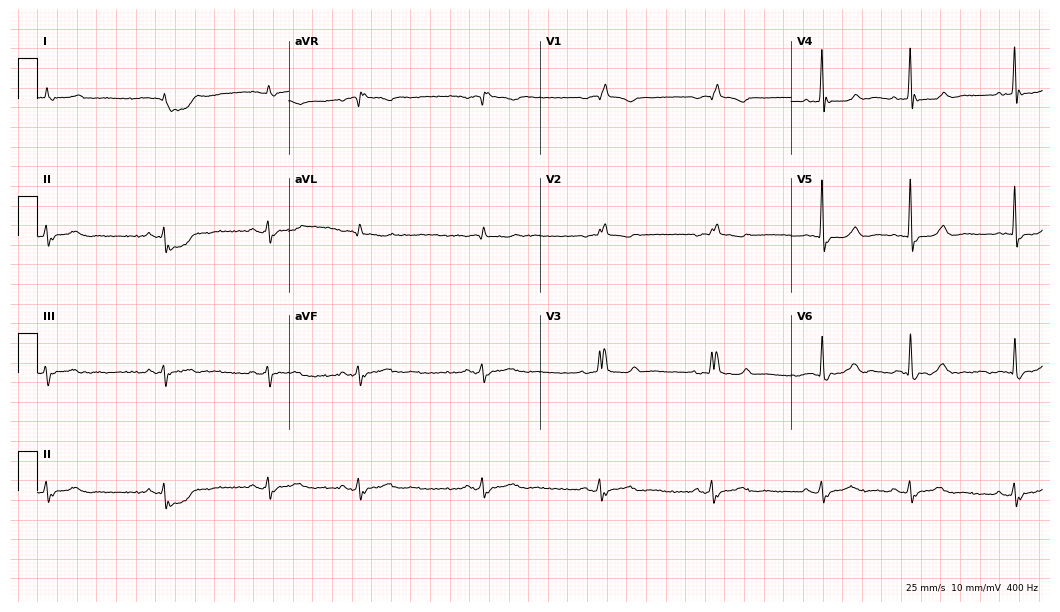
Standard 12-lead ECG recorded from an 85-year-old male patient. None of these six findings is recorded: first-degree AV block, right bundle branch block, left bundle branch block, sinus bradycardia, atrial fibrillation, sinus tachycardia.